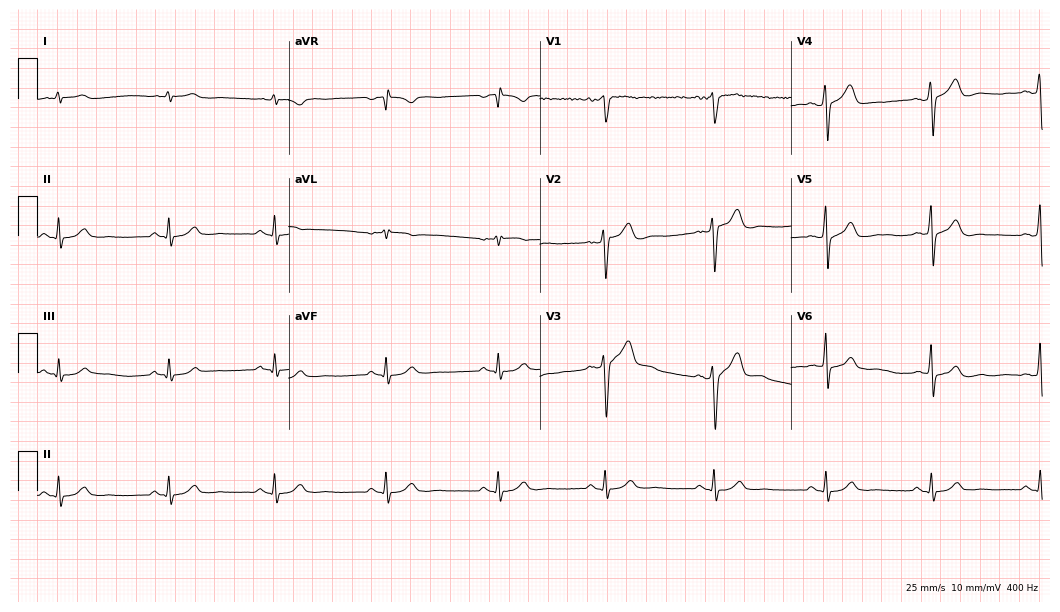
ECG (10.2-second recording at 400 Hz) — a 43-year-old male. Labelled as a normal ECG.